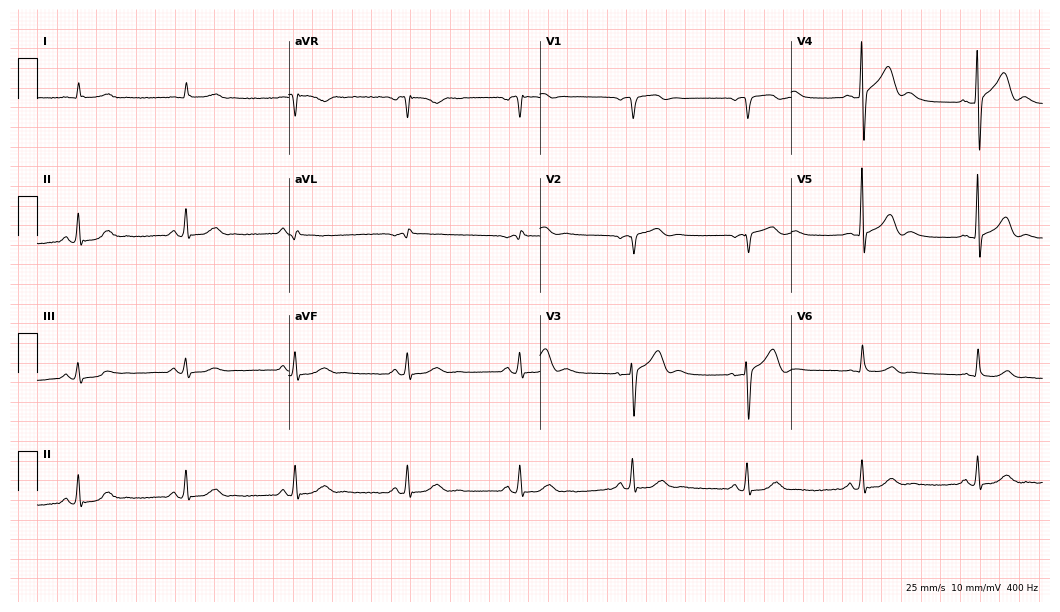
Resting 12-lead electrocardiogram. Patient: a 70-year-old male. Read as a normal ECG.